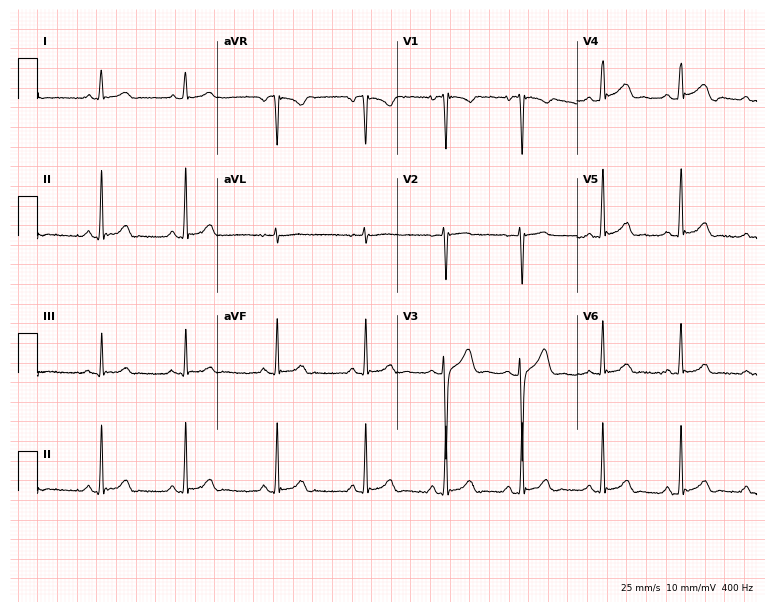
12-lead ECG from a 17-year-old female (7.3-second recording at 400 Hz). Recorded interpretation: within normal limits.